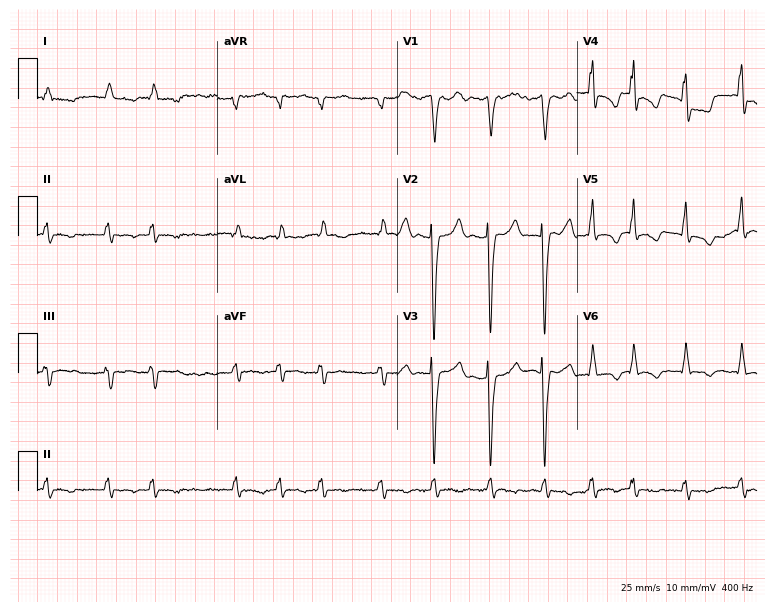
ECG — a female, 78 years old. Findings include atrial fibrillation (AF).